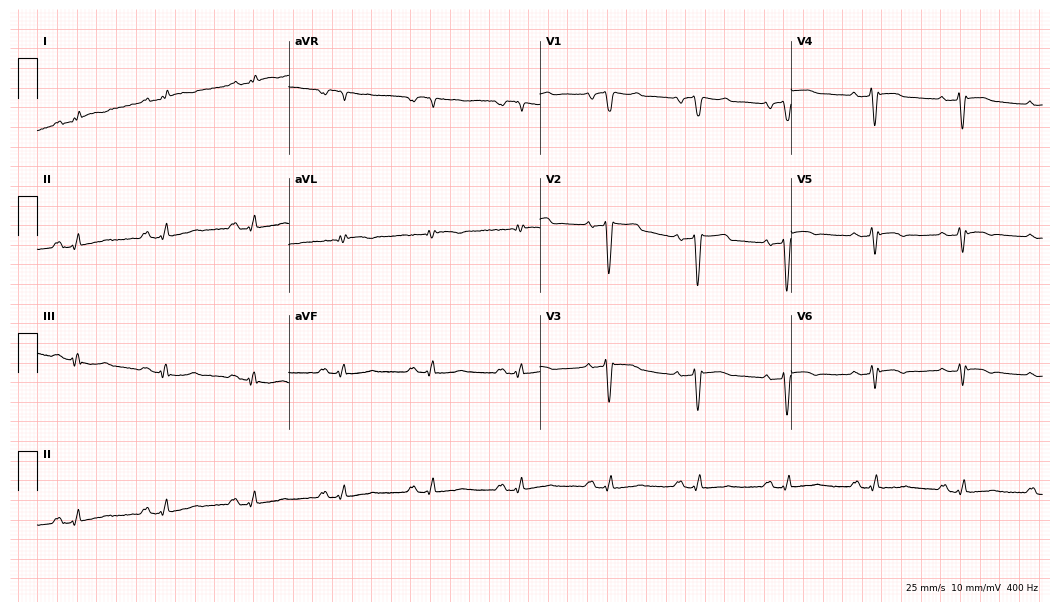
Resting 12-lead electrocardiogram (10.2-second recording at 400 Hz). Patient: a 65-year-old female. None of these six findings is recorded: first-degree AV block, right bundle branch block (RBBB), left bundle branch block (LBBB), sinus bradycardia, atrial fibrillation (AF), sinus tachycardia. Other findings, if any, are not listed.